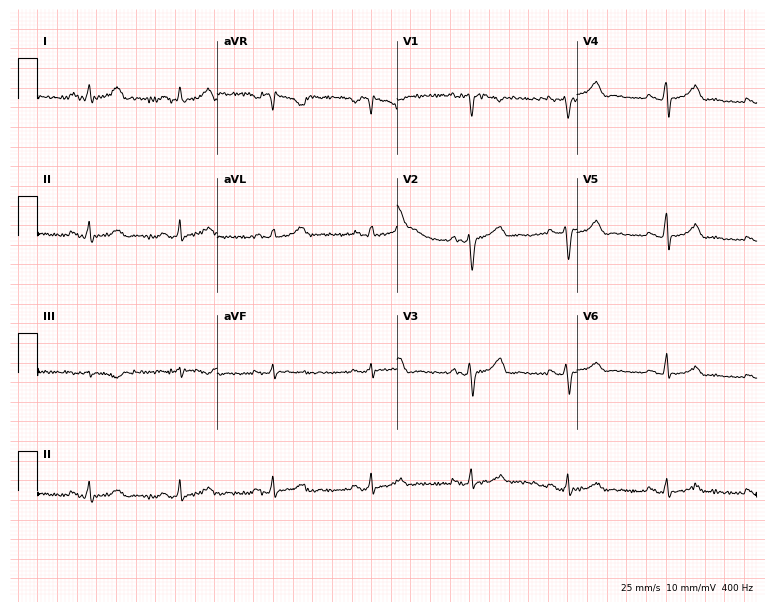
12-lead ECG from a 32-year-old female patient (7.3-second recording at 400 Hz). No first-degree AV block, right bundle branch block, left bundle branch block, sinus bradycardia, atrial fibrillation or sinus tachycardia recorded for this tracing.